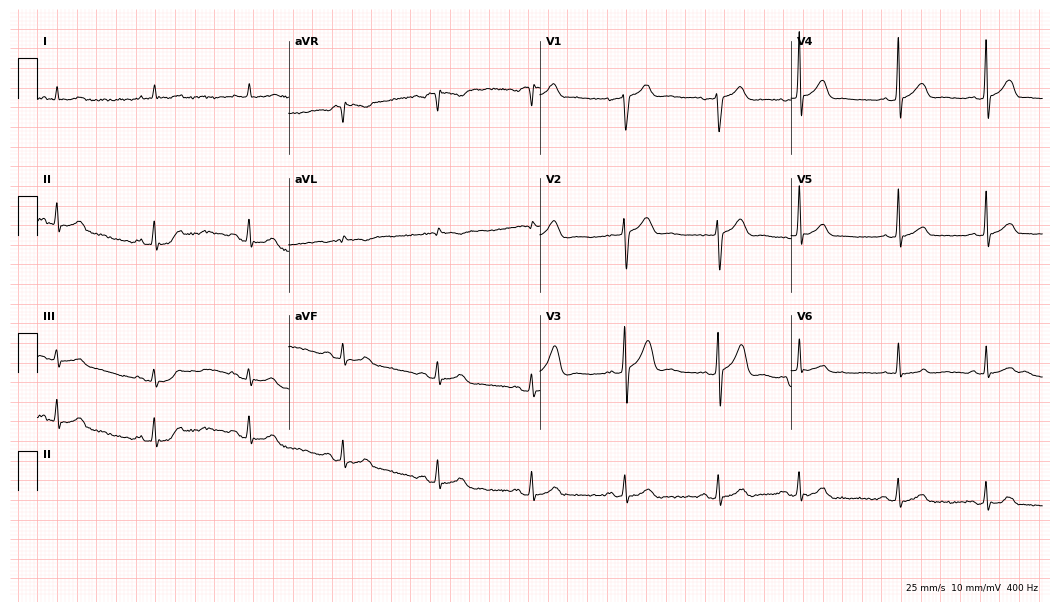
Standard 12-lead ECG recorded from a male, 82 years old (10.2-second recording at 400 Hz). None of these six findings is recorded: first-degree AV block, right bundle branch block (RBBB), left bundle branch block (LBBB), sinus bradycardia, atrial fibrillation (AF), sinus tachycardia.